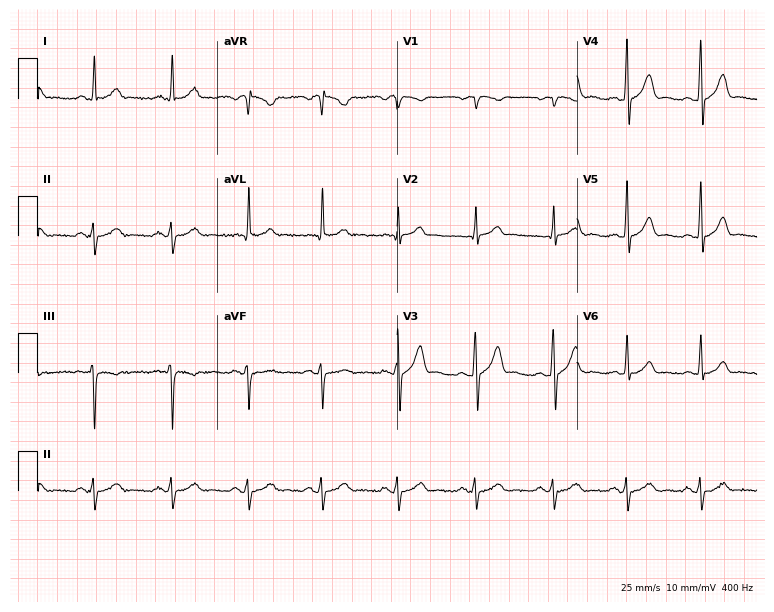
Standard 12-lead ECG recorded from a 46-year-old male. None of these six findings is recorded: first-degree AV block, right bundle branch block, left bundle branch block, sinus bradycardia, atrial fibrillation, sinus tachycardia.